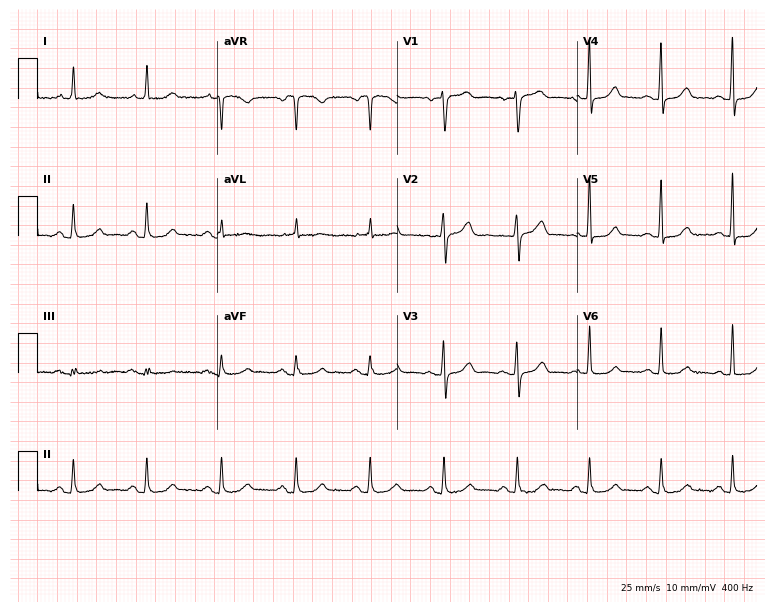
Standard 12-lead ECG recorded from a female, 66 years old (7.3-second recording at 400 Hz). Read as a normal ECG.